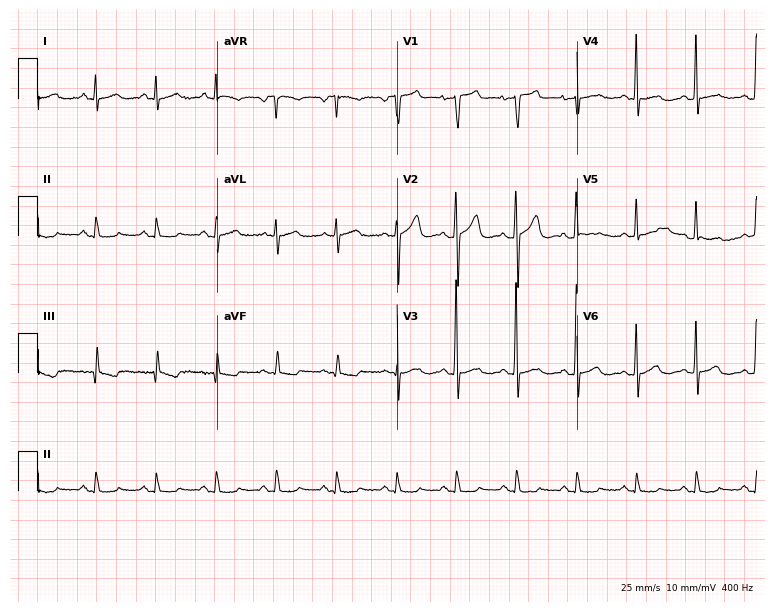
12-lead ECG from a male patient, 74 years old. Screened for six findings — first-degree AV block, right bundle branch block, left bundle branch block, sinus bradycardia, atrial fibrillation, sinus tachycardia — none is recorded. Other findings, if any, are not listed.